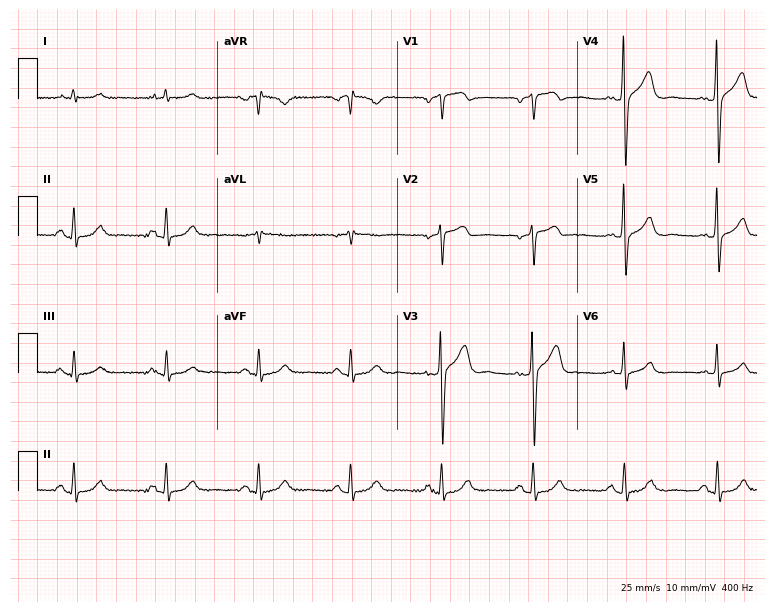
12-lead ECG (7.3-second recording at 400 Hz) from a 67-year-old man. Screened for six findings — first-degree AV block, right bundle branch block (RBBB), left bundle branch block (LBBB), sinus bradycardia, atrial fibrillation (AF), sinus tachycardia — none is recorded. Findings outside these six are not listed.